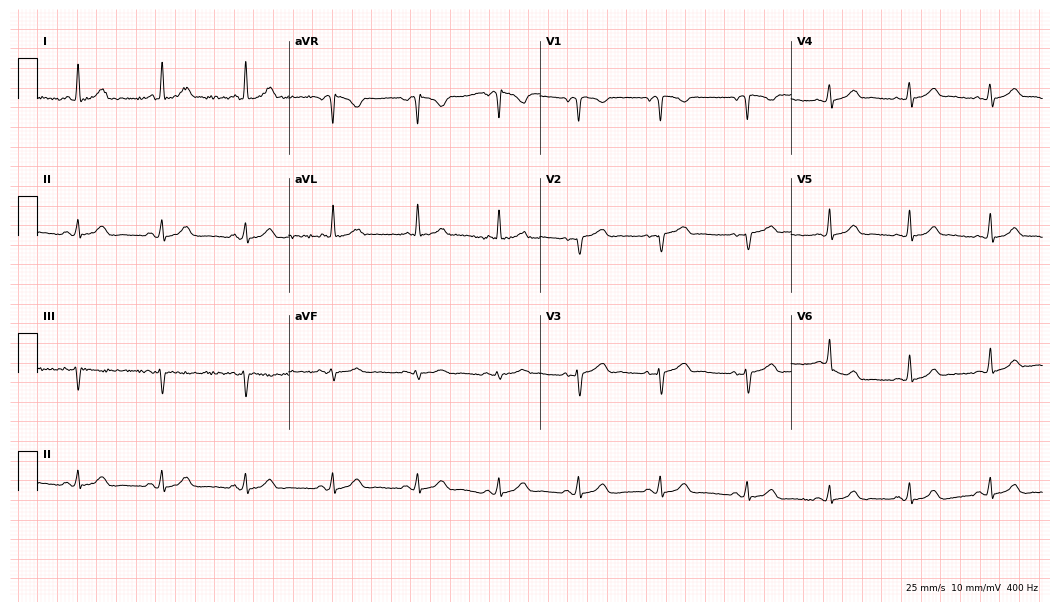
Electrocardiogram, a female, 40 years old. Of the six screened findings (first-degree AV block, right bundle branch block (RBBB), left bundle branch block (LBBB), sinus bradycardia, atrial fibrillation (AF), sinus tachycardia), none is recorded. Findings outside these six are not listed.